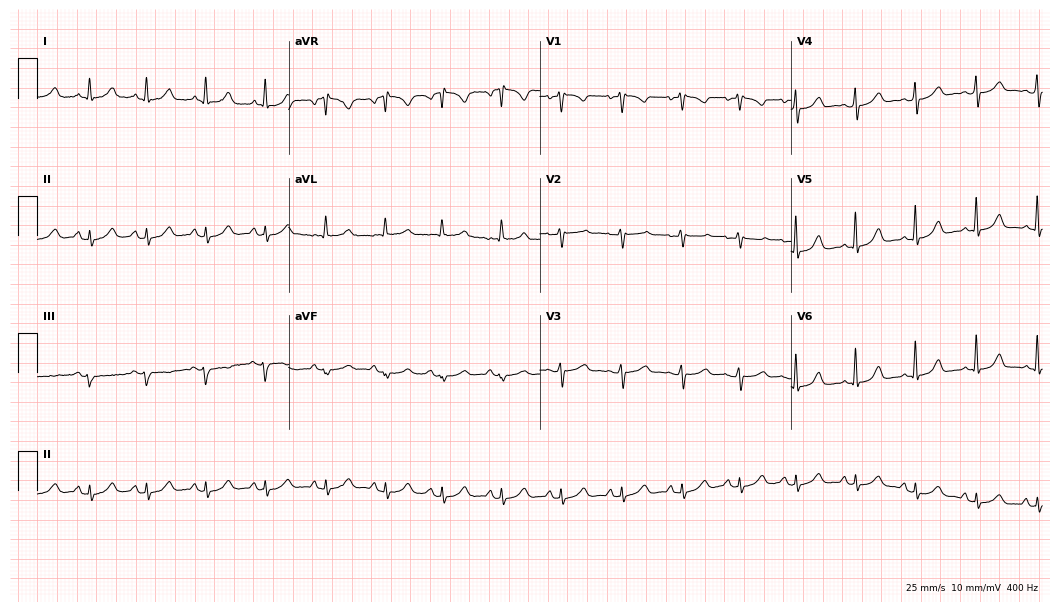
Resting 12-lead electrocardiogram. Patient: a woman, 41 years old. None of these six findings is recorded: first-degree AV block, right bundle branch block, left bundle branch block, sinus bradycardia, atrial fibrillation, sinus tachycardia.